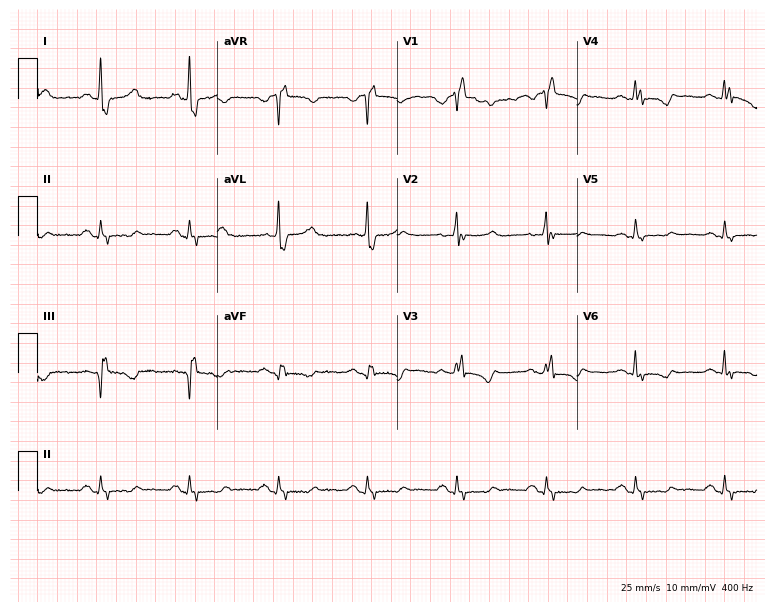
Standard 12-lead ECG recorded from a 72-year-old female patient (7.3-second recording at 400 Hz). None of these six findings is recorded: first-degree AV block, right bundle branch block, left bundle branch block, sinus bradycardia, atrial fibrillation, sinus tachycardia. Findings outside these six are not listed.